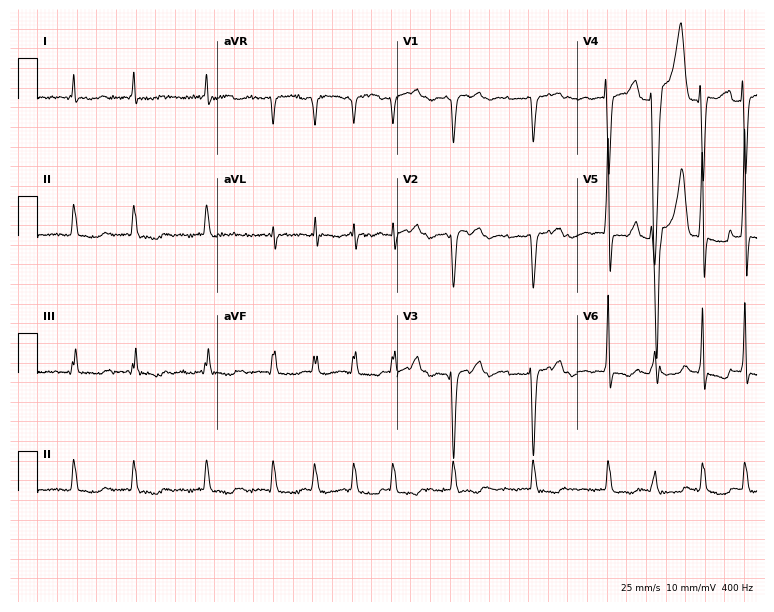
12-lead ECG from a woman, 84 years old (7.3-second recording at 400 Hz). Shows atrial fibrillation (AF).